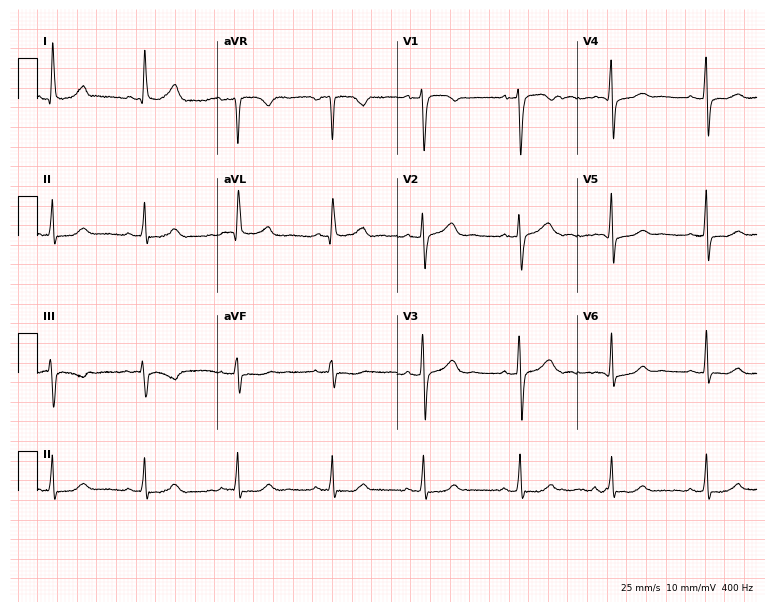
ECG — a 58-year-old female. Labelled as a normal ECG.